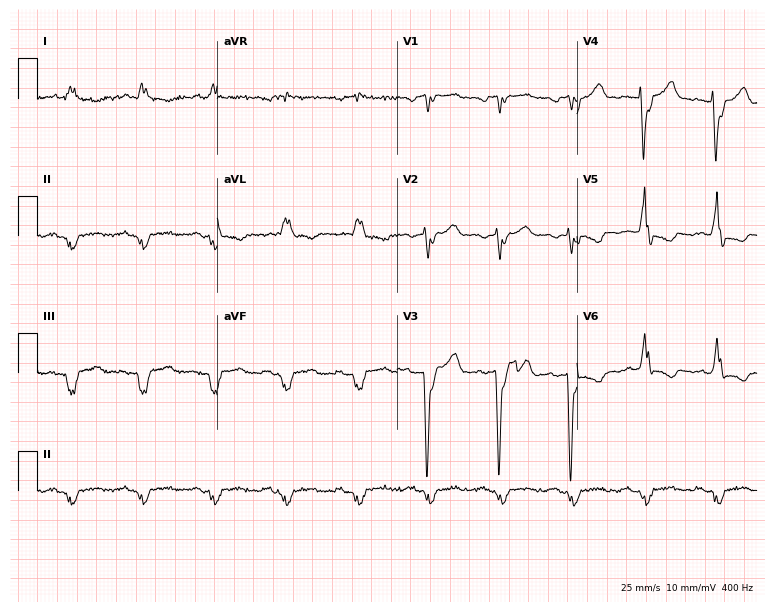
Electrocardiogram (7.3-second recording at 400 Hz), a male, 81 years old. Interpretation includes left bundle branch block.